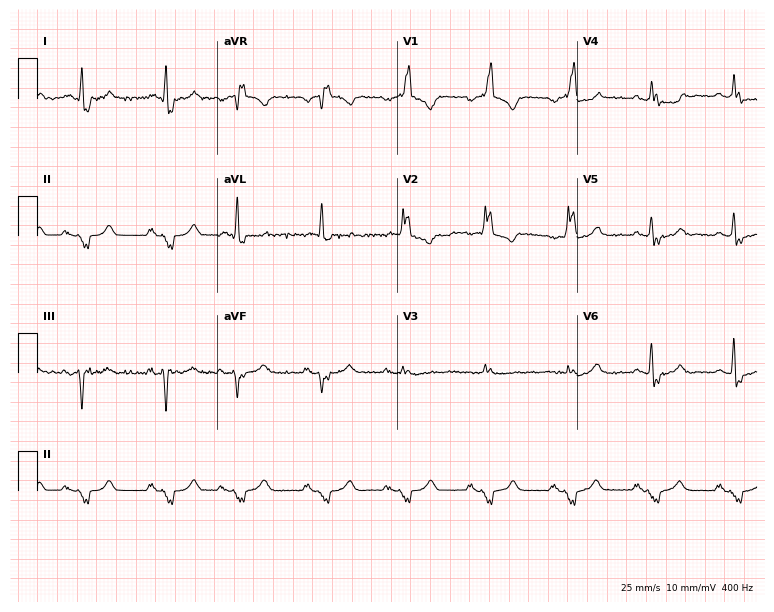
12-lead ECG from a male patient, 73 years old. Findings include right bundle branch block (RBBB).